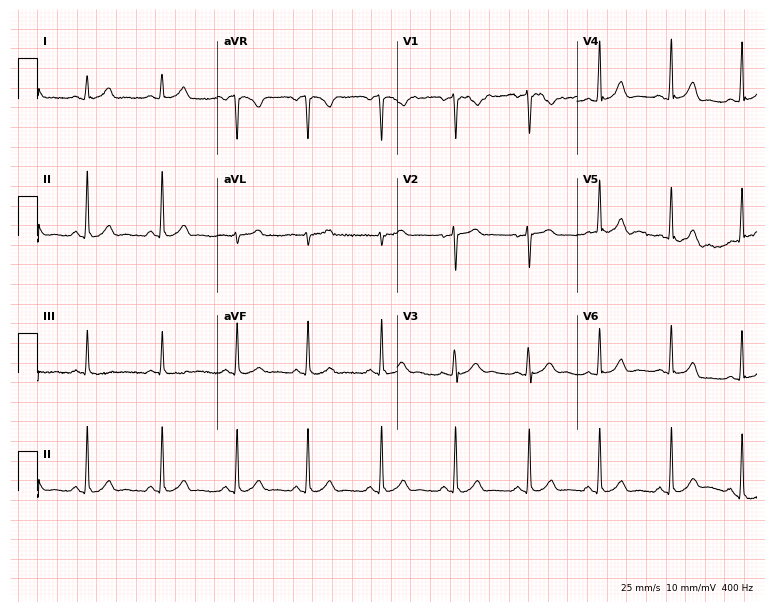
12-lead ECG from a 23-year-old female patient (7.3-second recording at 400 Hz). Recorded interpretation: within normal limits.